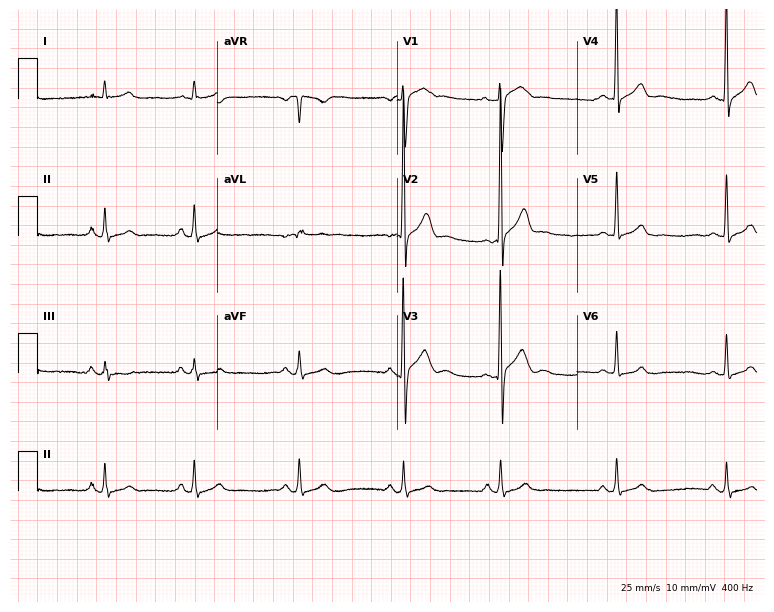
Standard 12-lead ECG recorded from a 31-year-old man (7.3-second recording at 400 Hz). None of these six findings is recorded: first-degree AV block, right bundle branch block (RBBB), left bundle branch block (LBBB), sinus bradycardia, atrial fibrillation (AF), sinus tachycardia.